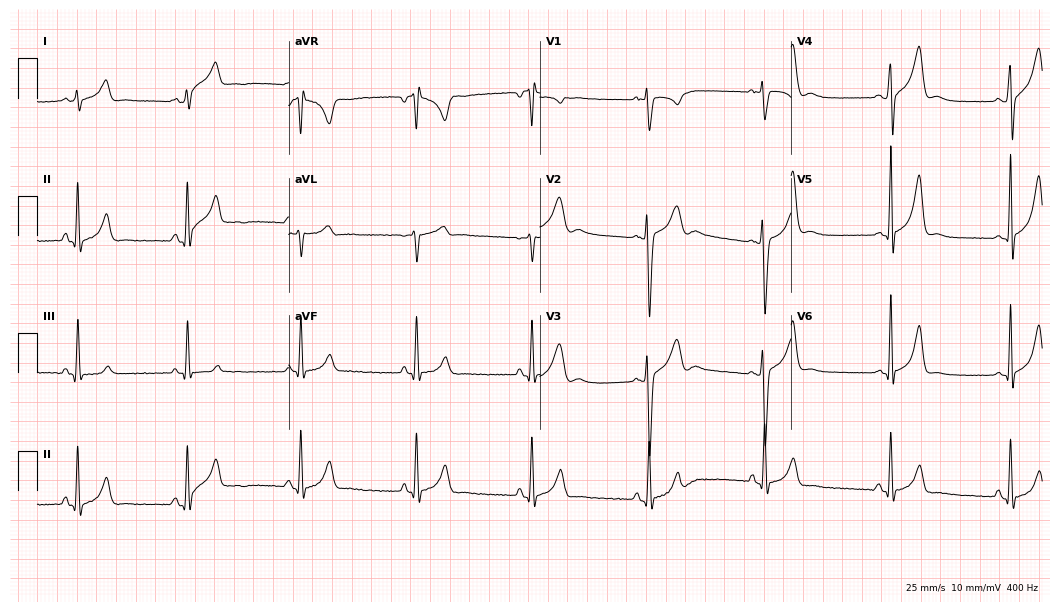
12-lead ECG (10.2-second recording at 400 Hz) from a 21-year-old man. Screened for six findings — first-degree AV block, right bundle branch block, left bundle branch block, sinus bradycardia, atrial fibrillation, sinus tachycardia — none is recorded. Other findings, if any, are not listed.